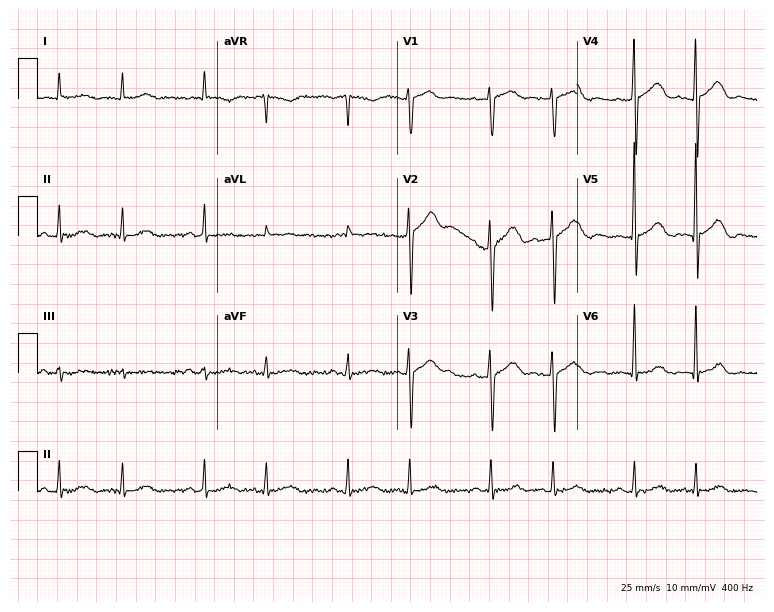
Electrocardiogram (7.3-second recording at 400 Hz), a man, 81 years old. Of the six screened findings (first-degree AV block, right bundle branch block (RBBB), left bundle branch block (LBBB), sinus bradycardia, atrial fibrillation (AF), sinus tachycardia), none is recorded. Only these six findings were labelled.